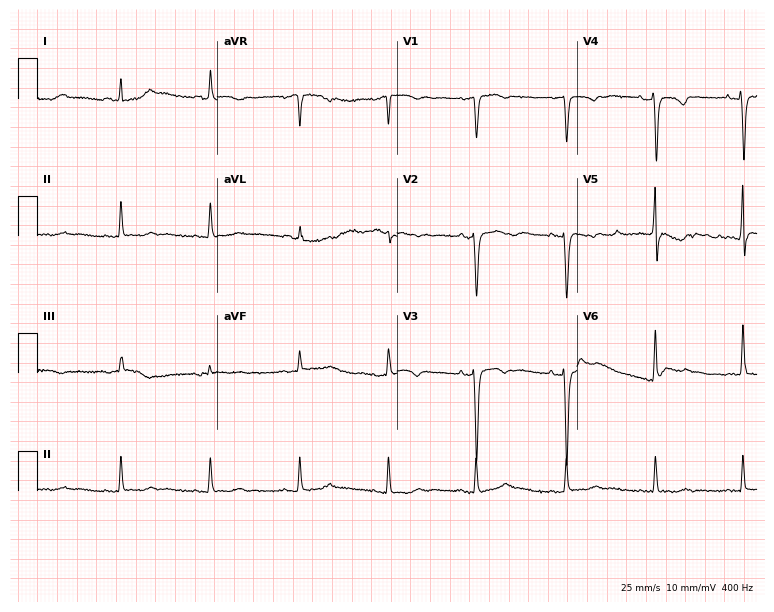
Resting 12-lead electrocardiogram. Patient: a woman, 85 years old. None of these six findings is recorded: first-degree AV block, right bundle branch block (RBBB), left bundle branch block (LBBB), sinus bradycardia, atrial fibrillation (AF), sinus tachycardia.